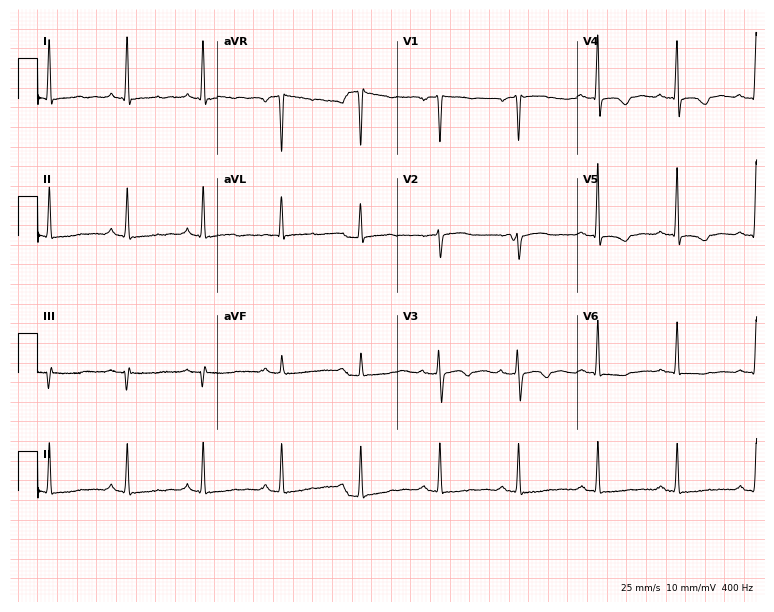
ECG (7.3-second recording at 400 Hz) — a woman, 60 years old. Screened for six findings — first-degree AV block, right bundle branch block (RBBB), left bundle branch block (LBBB), sinus bradycardia, atrial fibrillation (AF), sinus tachycardia — none is recorded.